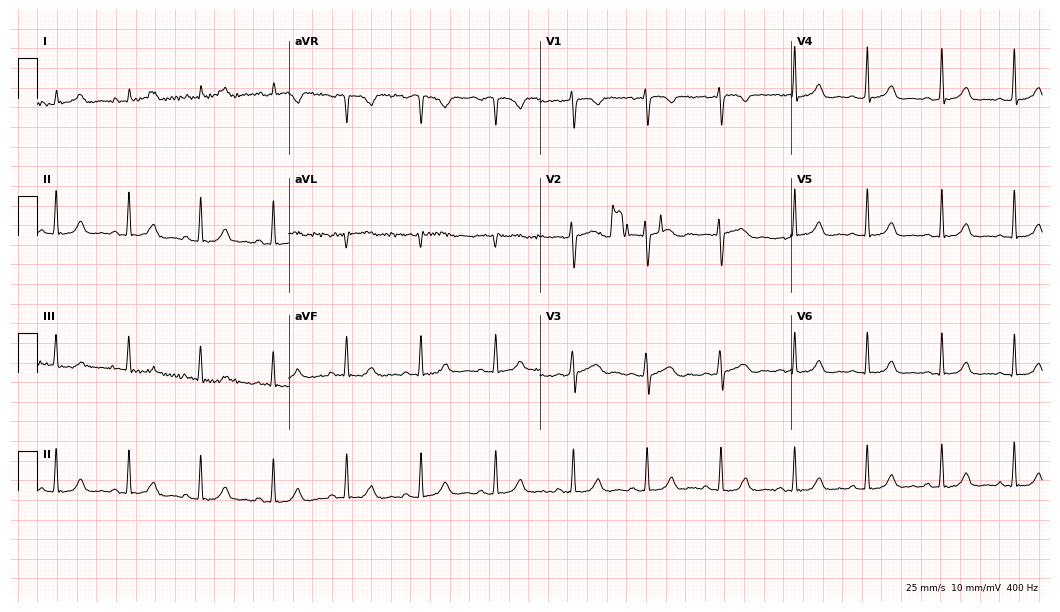
Electrocardiogram (10.2-second recording at 400 Hz), a 24-year-old female. Of the six screened findings (first-degree AV block, right bundle branch block, left bundle branch block, sinus bradycardia, atrial fibrillation, sinus tachycardia), none is recorded.